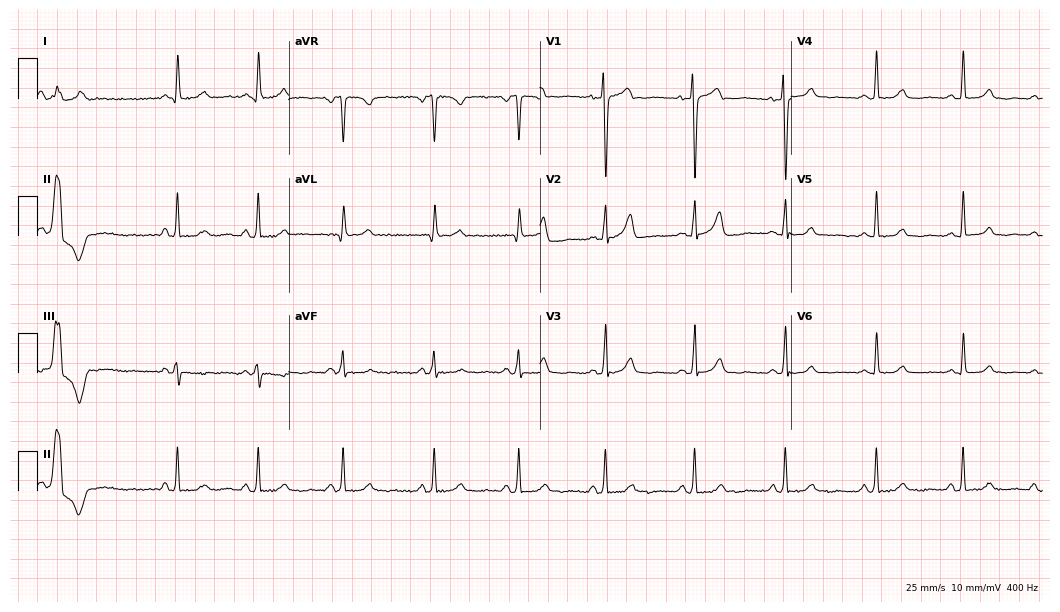
12-lead ECG from a 40-year-old female. Recorded interpretation: within normal limits.